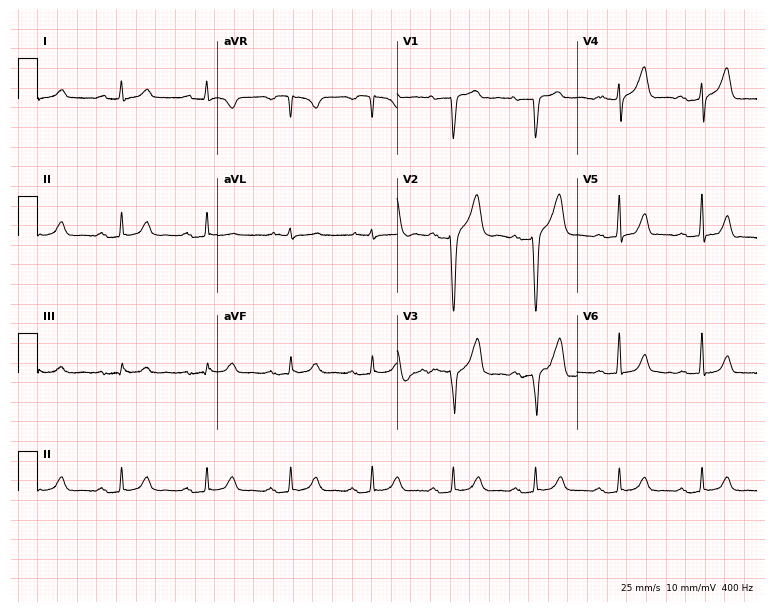
12-lead ECG from a male, 52 years old. Findings include first-degree AV block.